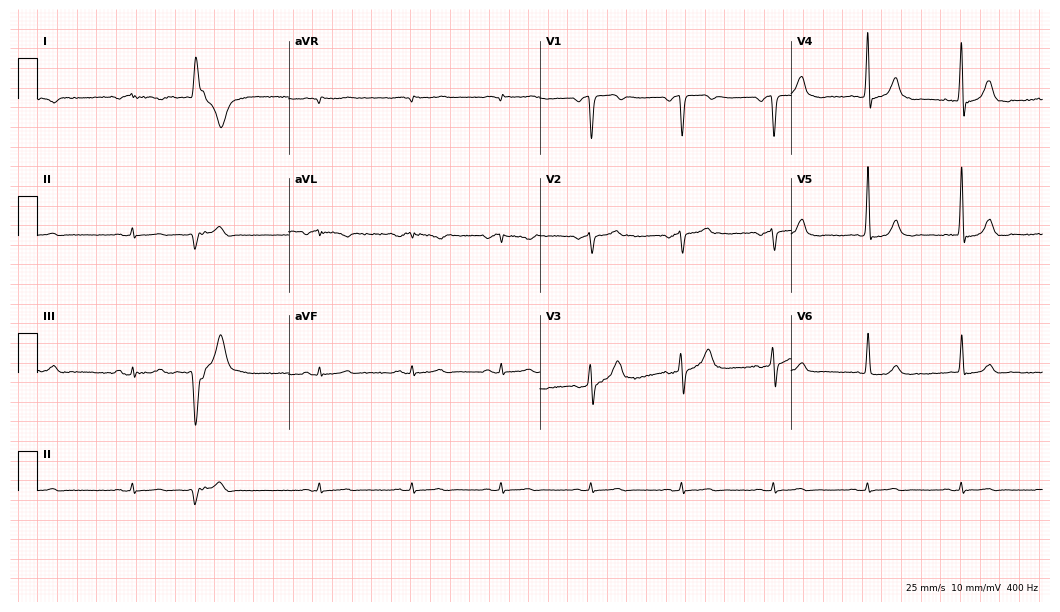
12-lead ECG (10.2-second recording at 400 Hz) from a female, 33 years old. Screened for six findings — first-degree AV block, right bundle branch block, left bundle branch block, sinus bradycardia, atrial fibrillation, sinus tachycardia — none is recorded. Only these six findings were labelled.